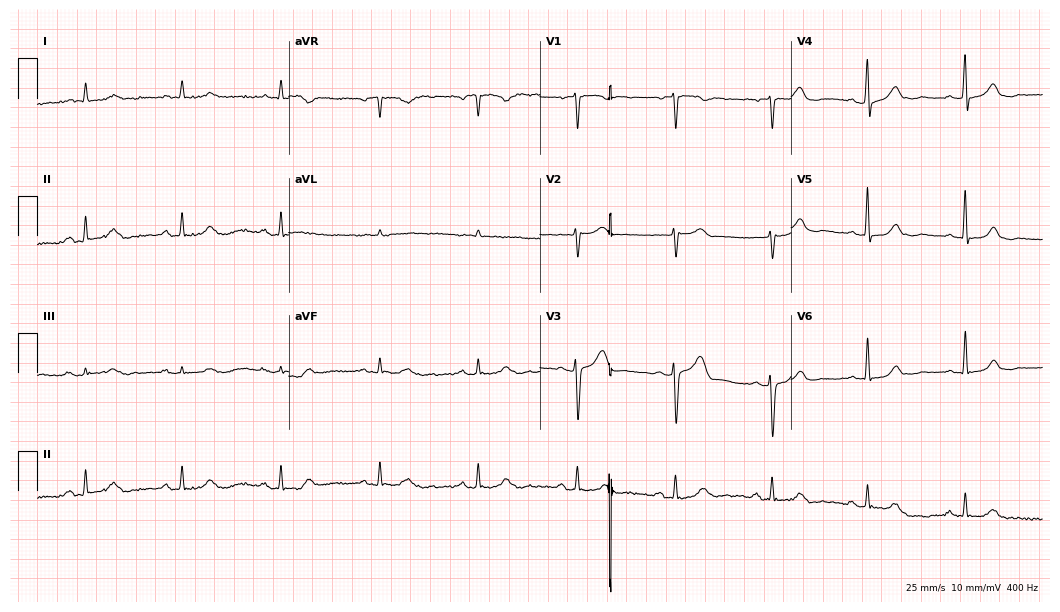
Resting 12-lead electrocardiogram. Patient: a 60-year-old woman. None of these six findings is recorded: first-degree AV block, right bundle branch block, left bundle branch block, sinus bradycardia, atrial fibrillation, sinus tachycardia.